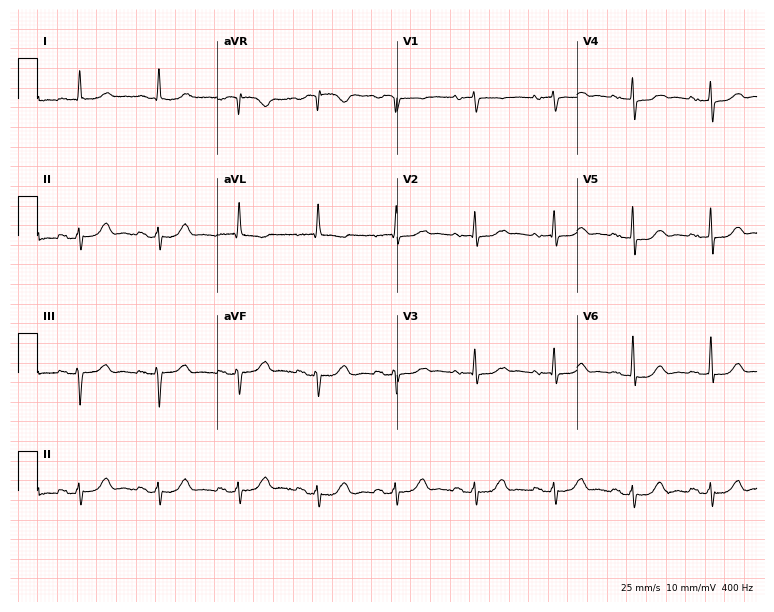
Electrocardiogram (7.3-second recording at 400 Hz), a female patient, 81 years old. Of the six screened findings (first-degree AV block, right bundle branch block, left bundle branch block, sinus bradycardia, atrial fibrillation, sinus tachycardia), none is recorded.